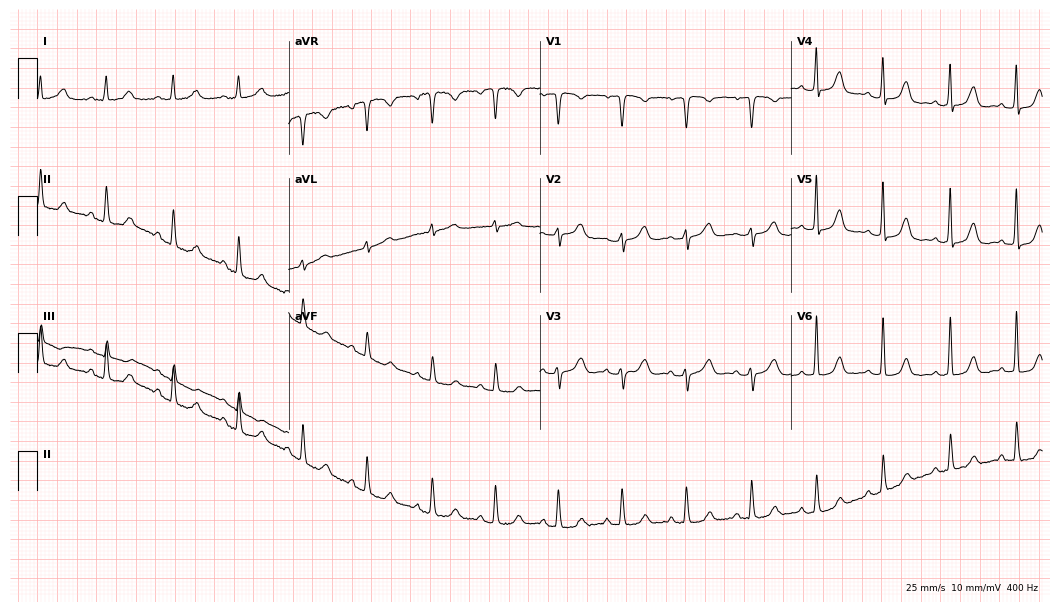
Standard 12-lead ECG recorded from a female patient, 67 years old. Read as a normal ECG.